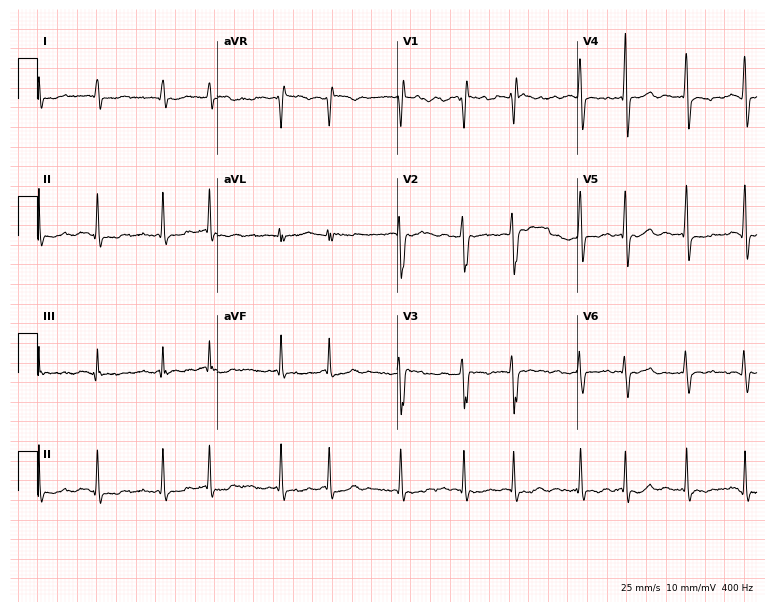
12-lead ECG (7.3-second recording at 400 Hz) from an 80-year-old female patient. Findings include atrial fibrillation.